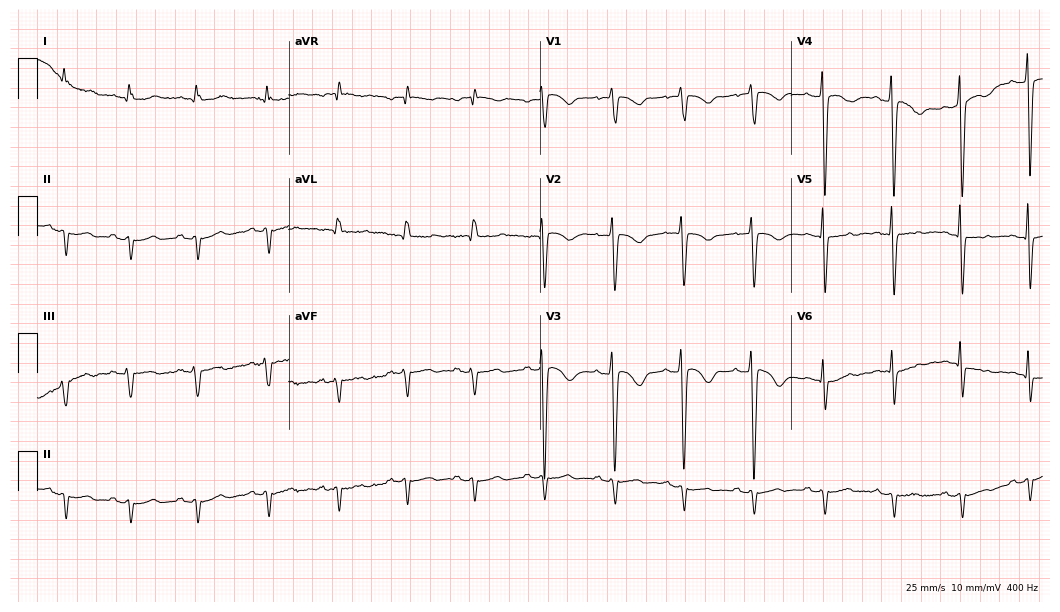
Electrocardiogram, a man, 76 years old. Of the six screened findings (first-degree AV block, right bundle branch block, left bundle branch block, sinus bradycardia, atrial fibrillation, sinus tachycardia), none is recorded. Findings outside these six are not listed.